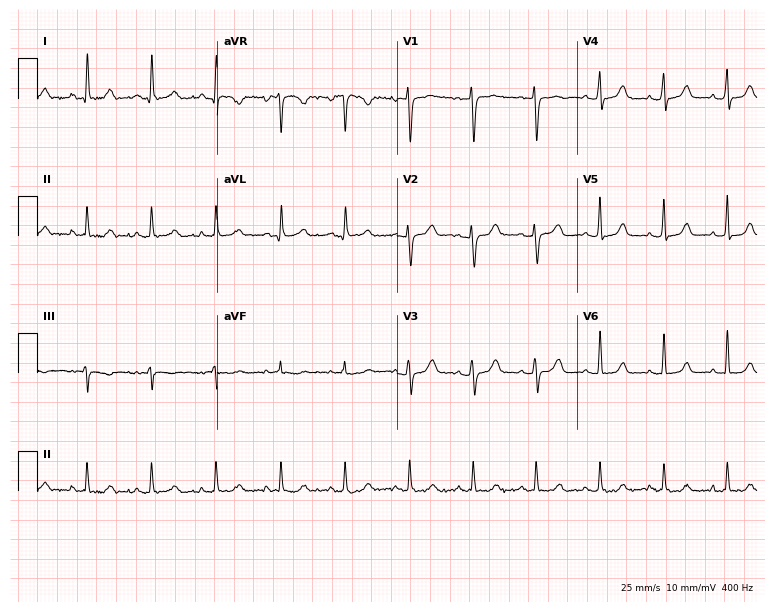
12-lead ECG (7.3-second recording at 400 Hz) from a 49-year-old female. Labelled as a normal ECG.